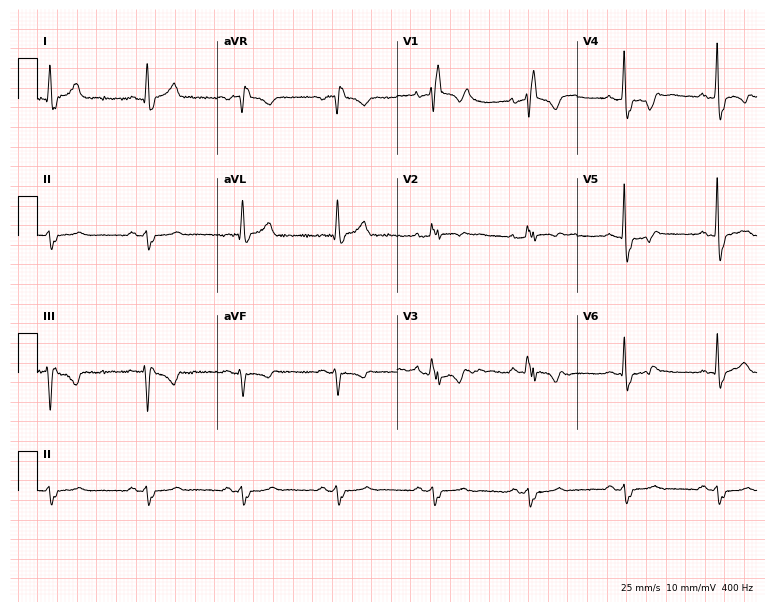
Standard 12-lead ECG recorded from a 45-year-old male (7.3-second recording at 400 Hz). The tracing shows right bundle branch block.